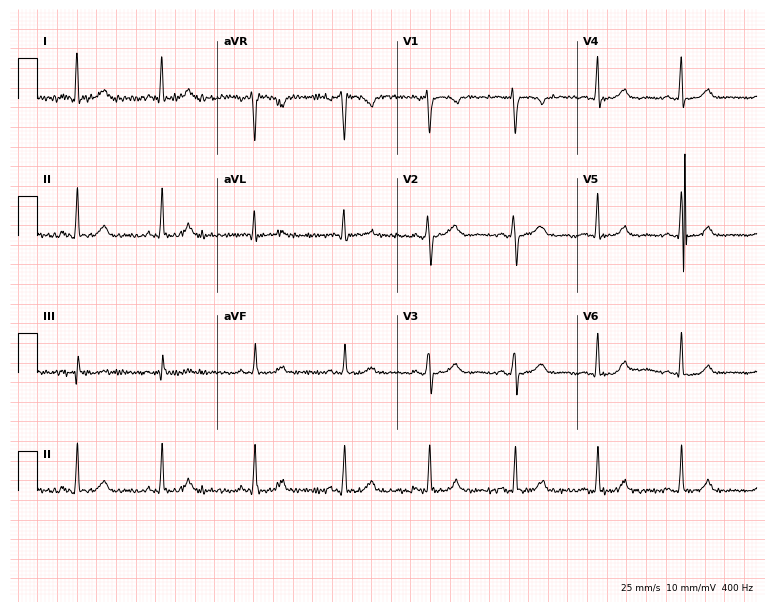
12-lead ECG from a female, 34 years old. No first-degree AV block, right bundle branch block, left bundle branch block, sinus bradycardia, atrial fibrillation or sinus tachycardia recorded for this tracing. Findings outside these six are not listed.